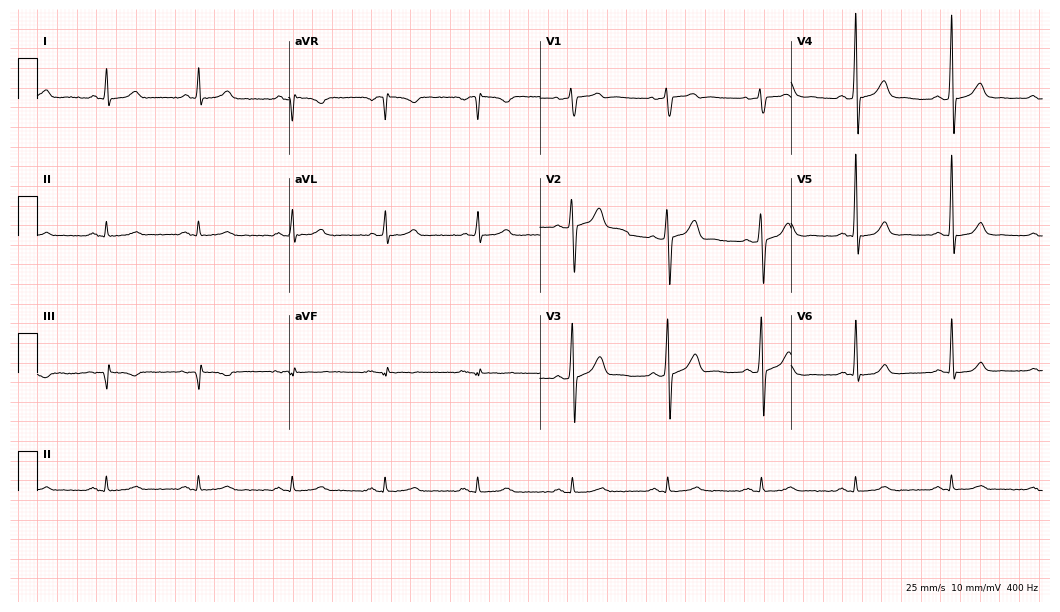
12-lead ECG from a man, 55 years old. Recorded interpretation: within normal limits.